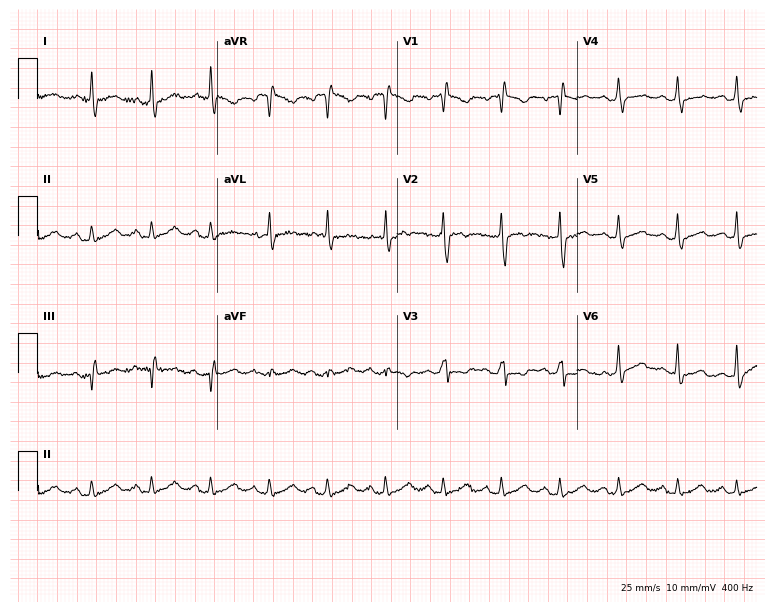
12-lead ECG (7.3-second recording at 400 Hz) from a 68-year-old male. Screened for six findings — first-degree AV block, right bundle branch block, left bundle branch block, sinus bradycardia, atrial fibrillation, sinus tachycardia — none is recorded.